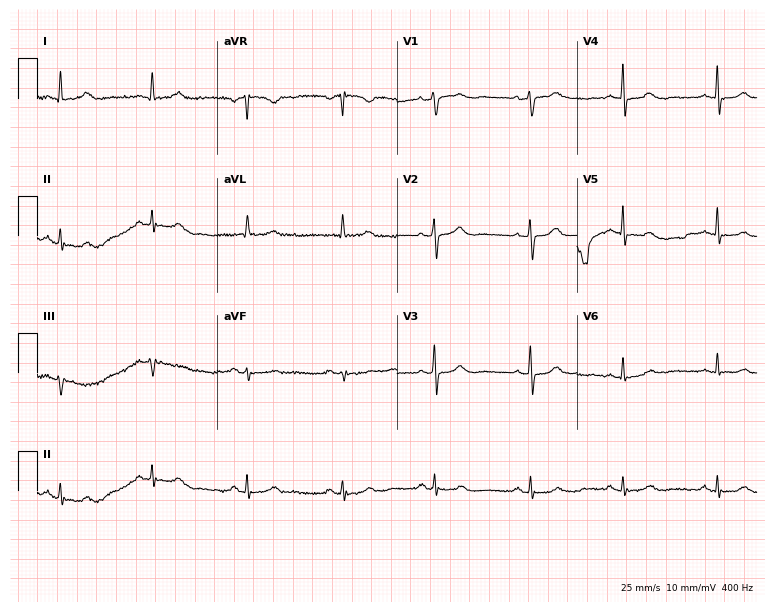
ECG (7.3-second recording at 400 Hz) — a 56-year-old female. Labelled as a normal ECG.